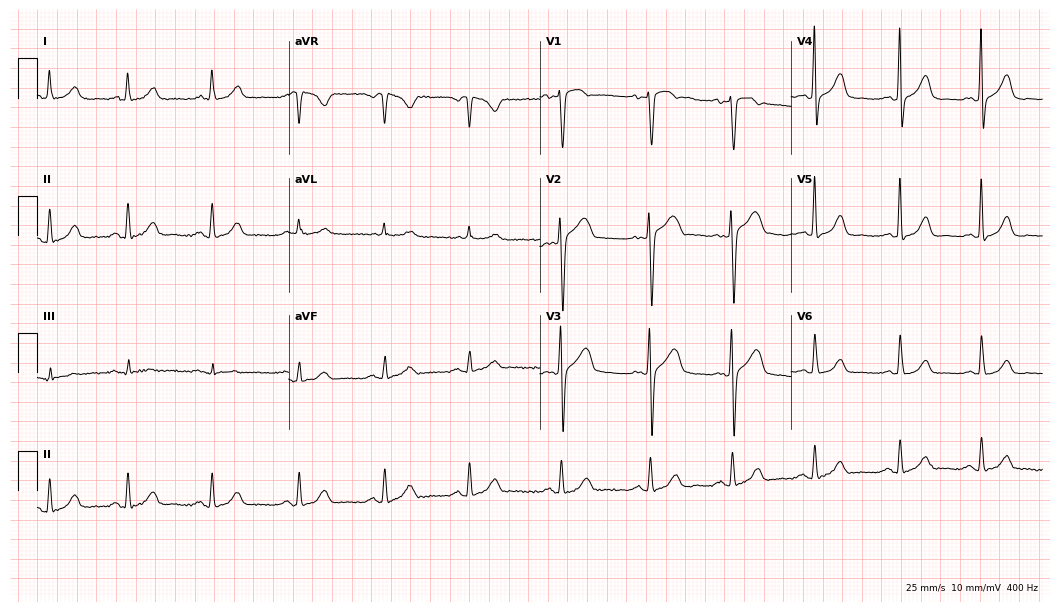
Electrocardiogram (10.2-second recording at 400 Hz), a female, 54 years old. Overall reading on record: normal ECG.